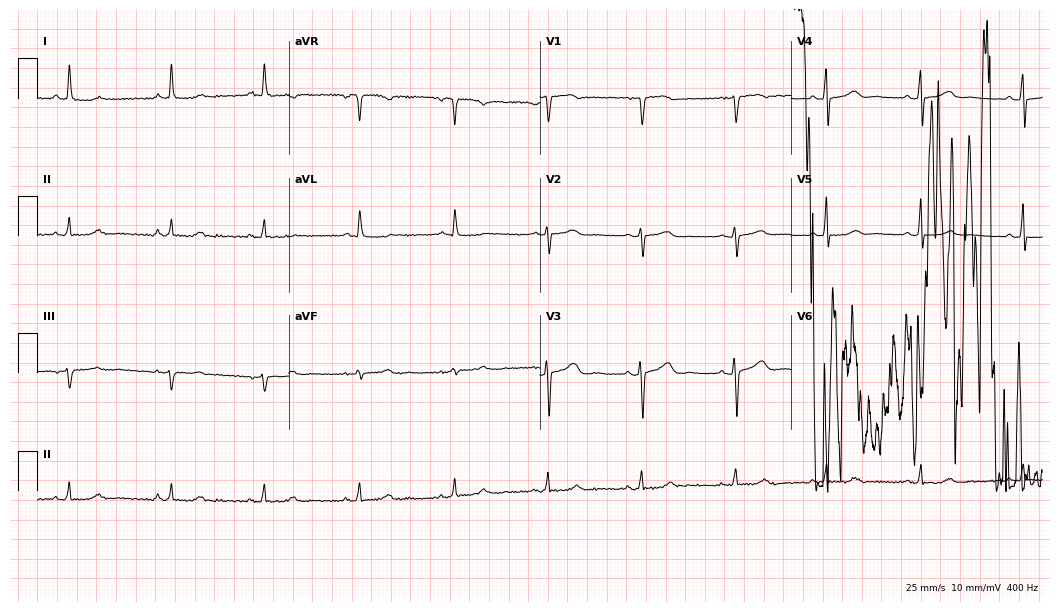
ECG — a female patient, 57 years old. Screened for six findings — first-degree AV block, right bundle branch block, left bundle branch block, sinus bradycardia, atrial fibrillation, sinus tachycardia — none is recorded. Findings outside these six are not listed.